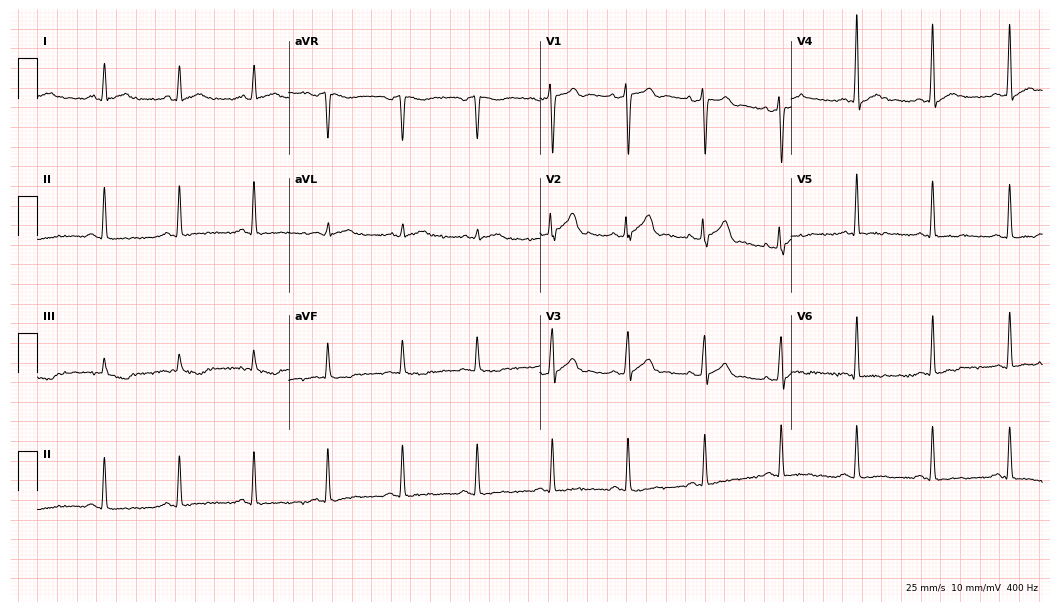
12-lead ECG from a 32-year-old man. Recorded interpretation: within normal limits.